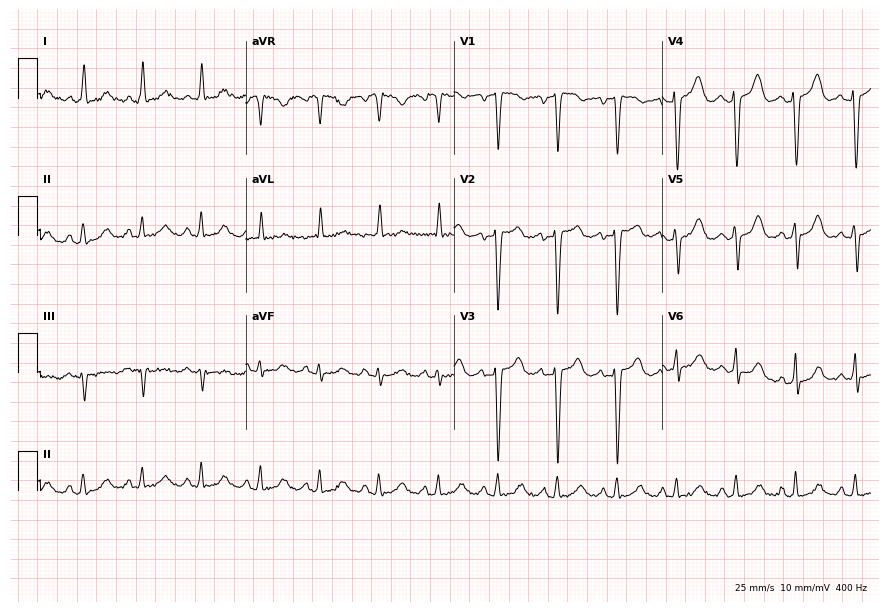
ECG — a 58-year-old female. Screened for six findings — first-degree AV block, right bundle branch block, left bundle branch block, sinus bradycardia, atrial fibrillation, sinus tachycardia — none is recorded. Other findings, if any, are not listed.